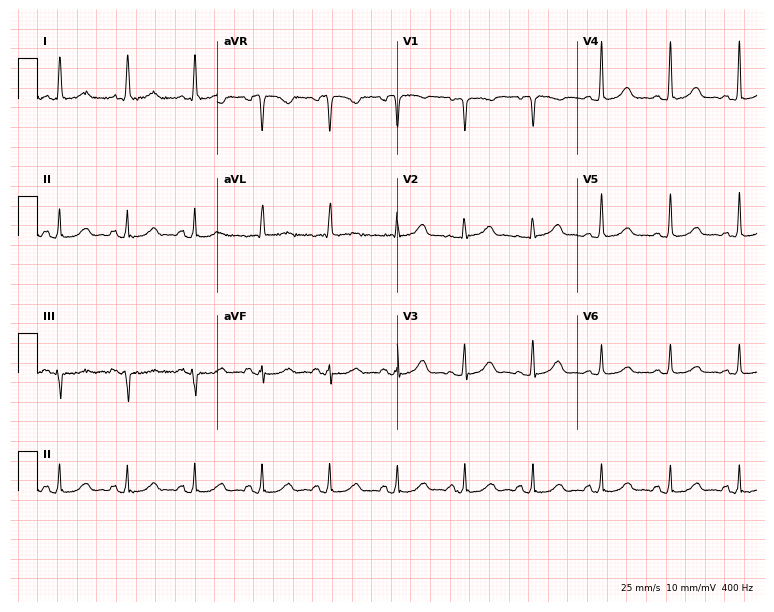
Electrocardiogram, a female patient, 84 years old. Overall reading on record: normal ECG.